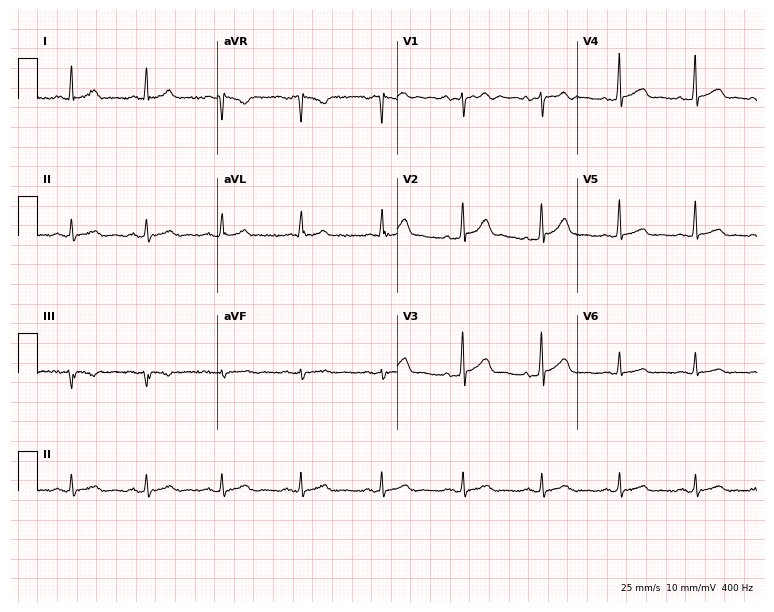
ECG (7.3-second recording at 400 Hz) — a 60-year-old man. Screened for six findings — first-degree AV block, right bundle branch block, left bundle branch block, sinus bradycardia, atrial fibrillation, sinus tachycardia — none is recorded. Other findings, if any, are not listed.